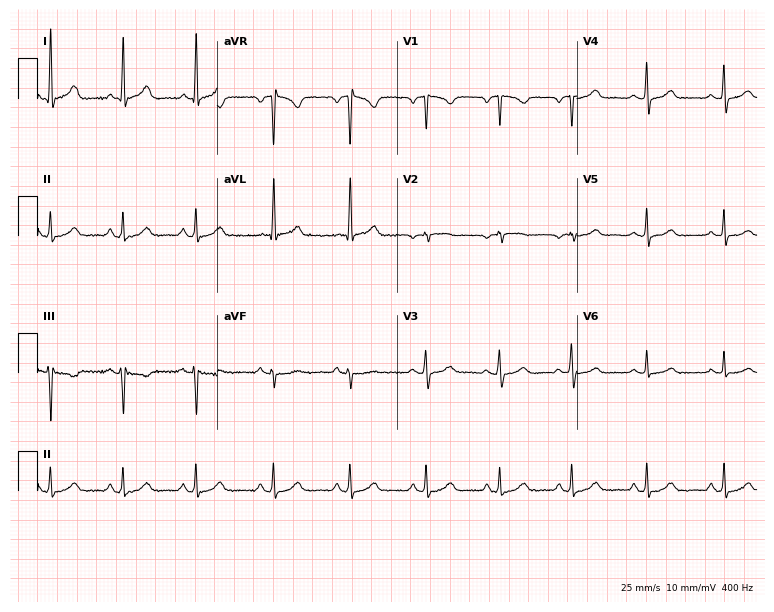
Standard 12-lead ECG recorded from a female, 45 years old (7.3-second recording at 400 Hz). Read as a normal ECG.